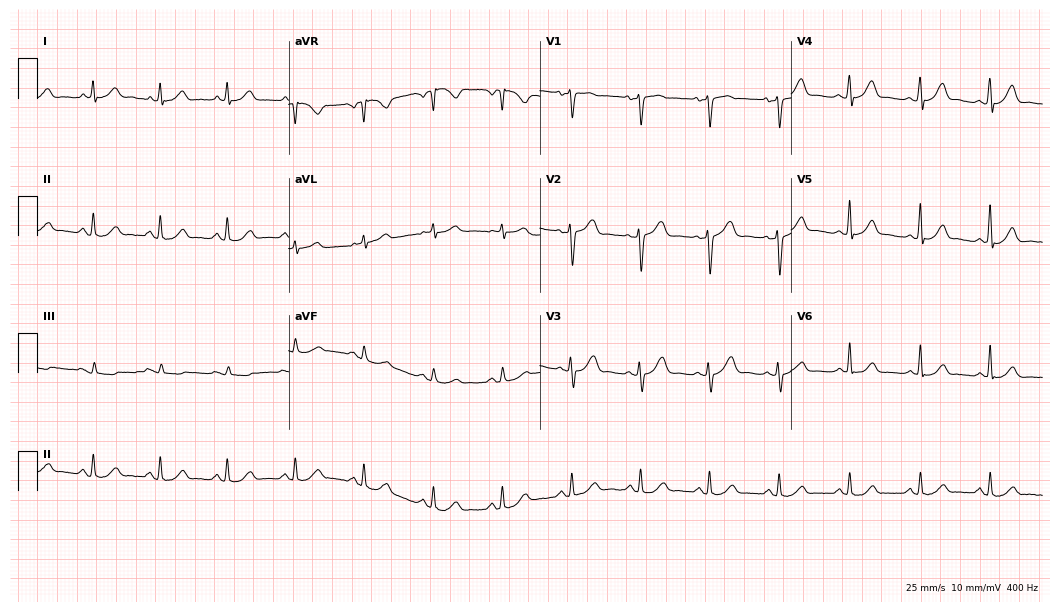
Electrocardiogram, a 48-year-old woman. Overall reading on record: normal ECG.